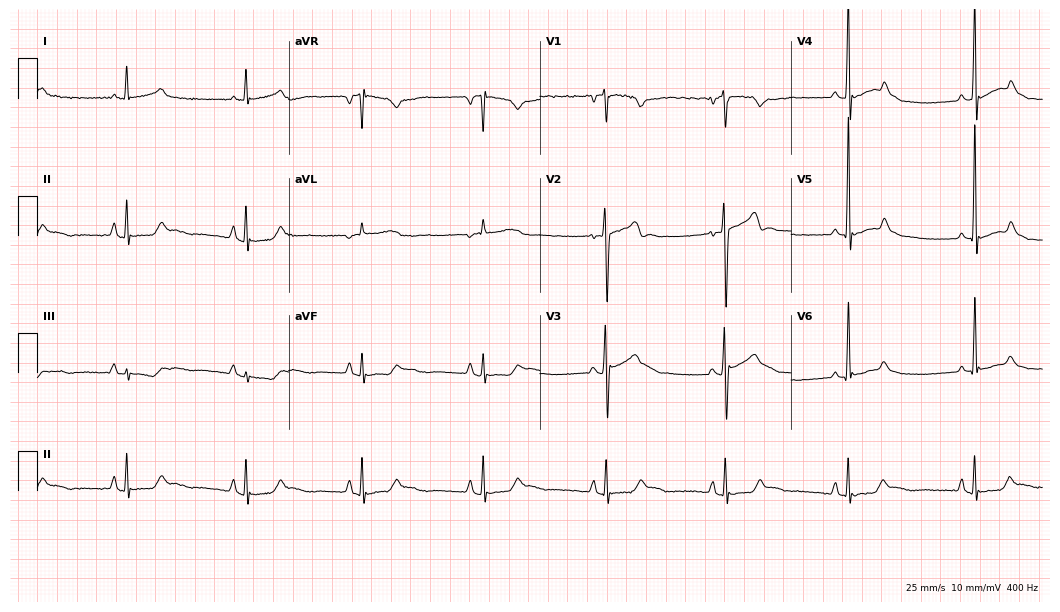
12-lead ECG from a male, 17 years old (10.2-second recording at 400 Hz). Recorded interpretation: within normal limits.